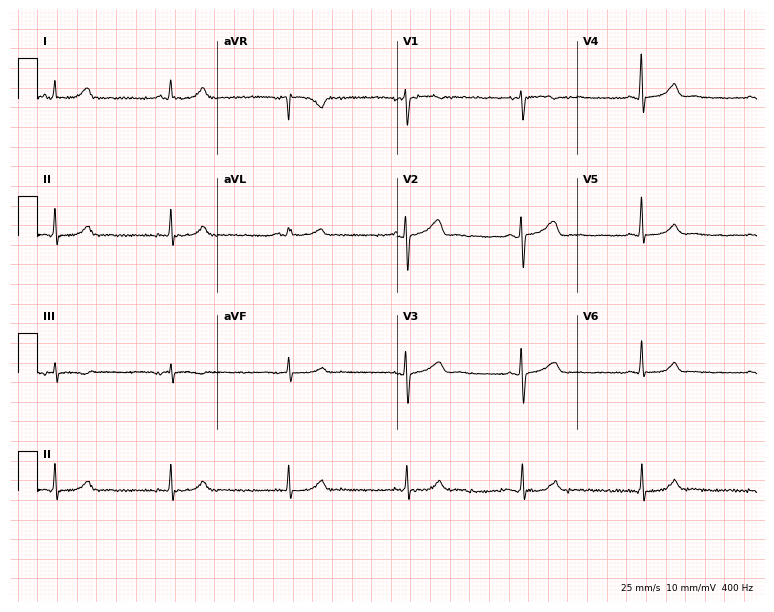
12-lead ECG from a female patient, 65 years old (7.3-second recording at 400 Hz). Recorded interpretation: within normal limits.